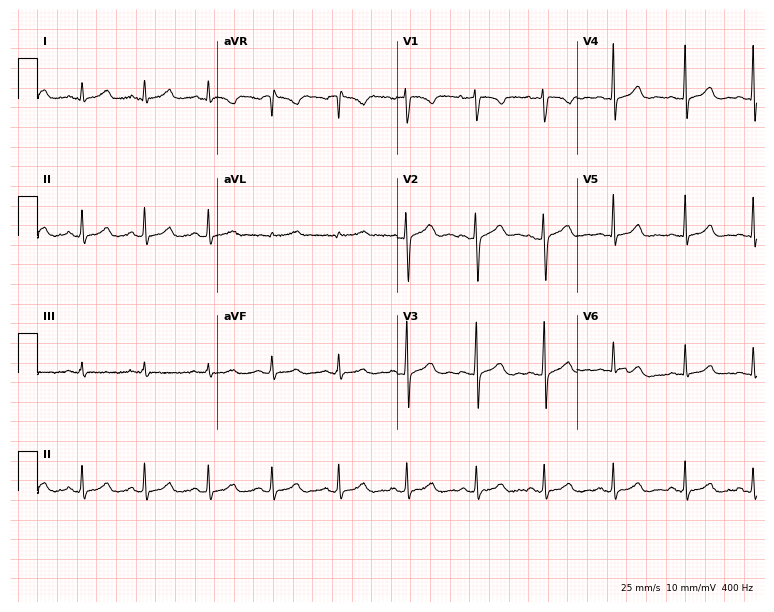
12-lead ECG (7.3-second recording at 400 Hz) from a female patient, 19 years old. Labelled as a normal ECG.